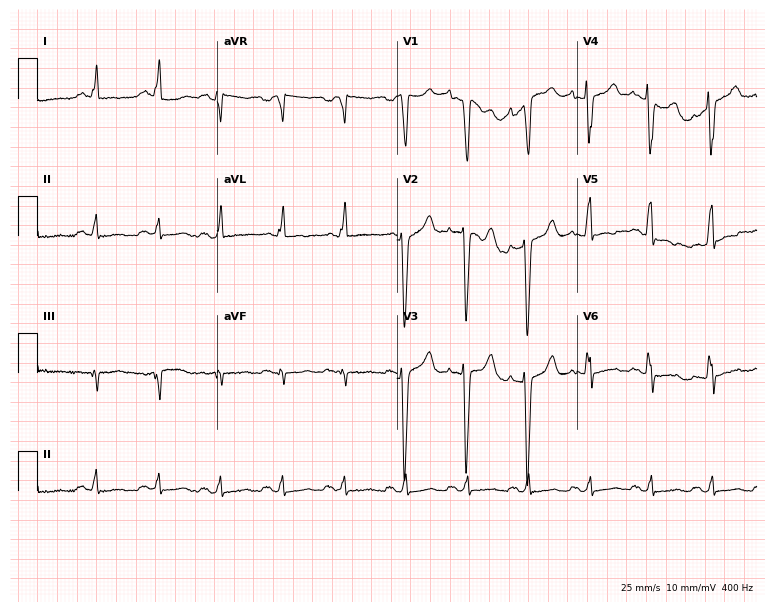
Standard 12-lead ECG recorded from a 43-year-old male patient (7.3-second recording at 400 Hz). None of these six findings is recorded: first-degree AV block, right bundle branch block (RBBB), left bundle branch block (LBBB), sinus bradycardia, atrial fibrillation (AF), sinus tachycardia. Findings outside these six are not listed.